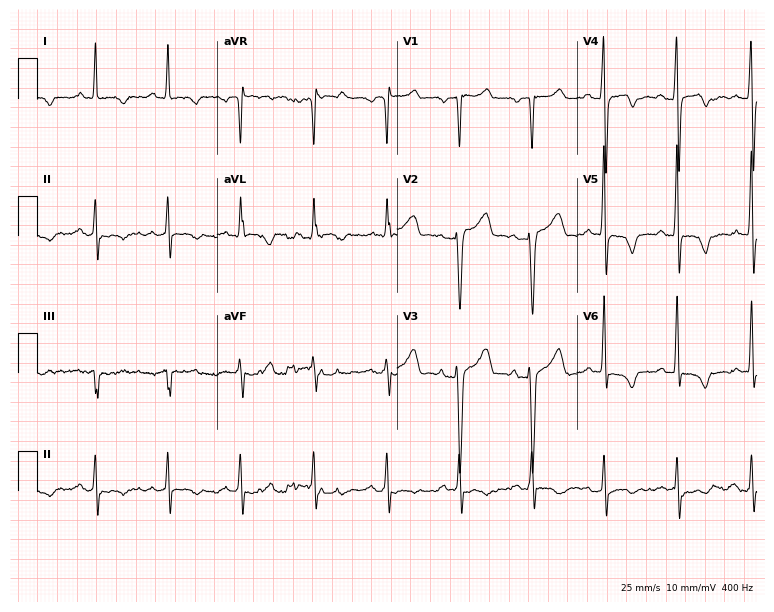
Resting 12-lead electrocardiogram. Patient: a 40-year-old male. Read as a normal ECG.